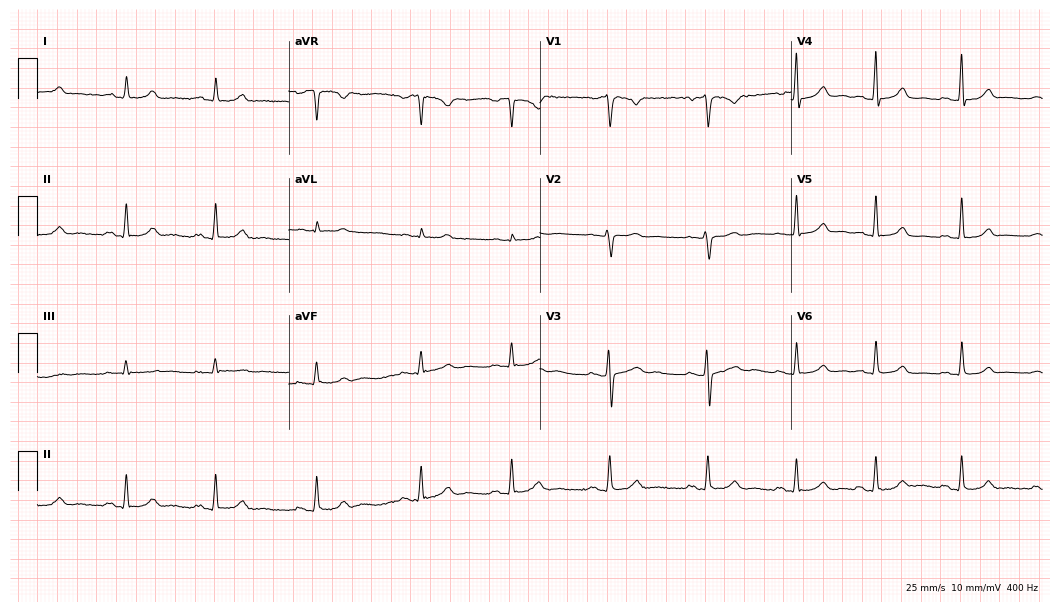
Standard 12-lead ECG recorded from a woman, 22 years old (10.2-second recording at 400 Hz). Read as a normal ECG.